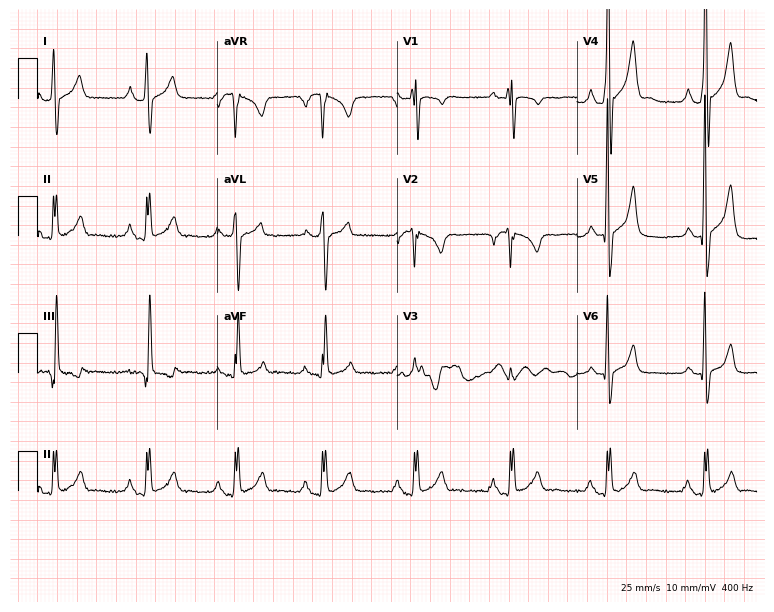
Resting 12-lead electrocardiogram. Patient: a male, 18 years old. None of these six findings is recorded: first-degree AV block, right bundle branch block (RBBB), left bundle branch block (LBBB), sinus bradycardia, atrial fibrillation (AF), sinus tachycardia. Findings outside these six are not listed.